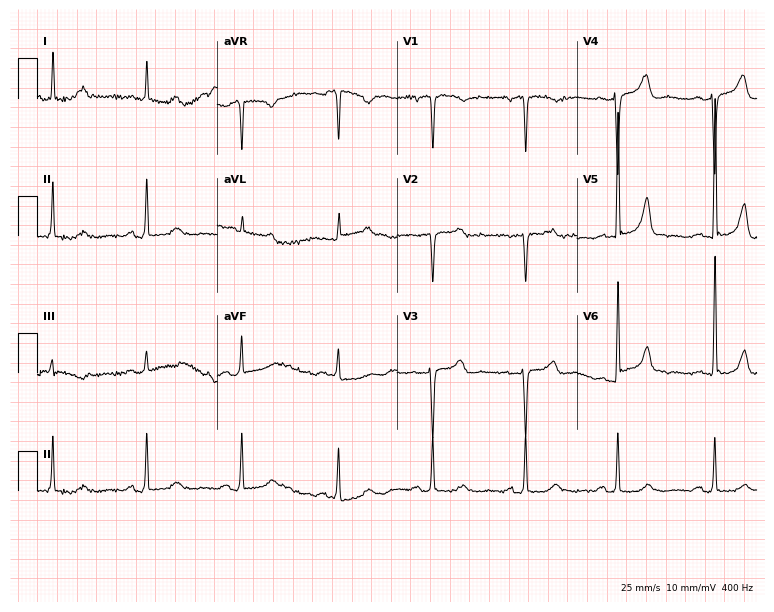
Electrocardiogram (7.3-second recording at 400 Hz), a woman, 75 years old. Of the six screened findings (first-degree AV block, right bundle branch block, left bundle branch block, sinus bradycardia, atrial fibrillation, sinus tachycardia), none is recorded.